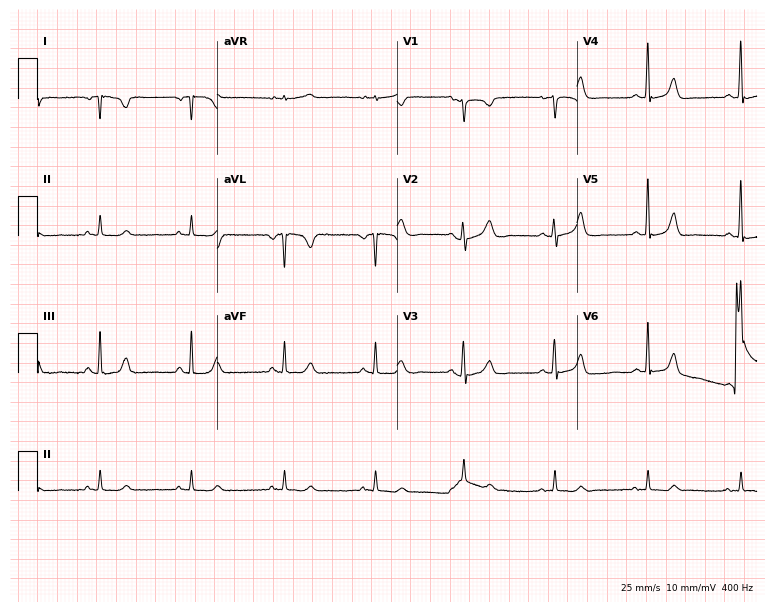
12-lead ECG from a 26-year-old female. No first-degree AV block, right bundle branch block, left bundle branch block, sinus bradycardia, atrial fibrillation or sinus tachycardia recorded for this tracing. Findings outside these six are not listed.